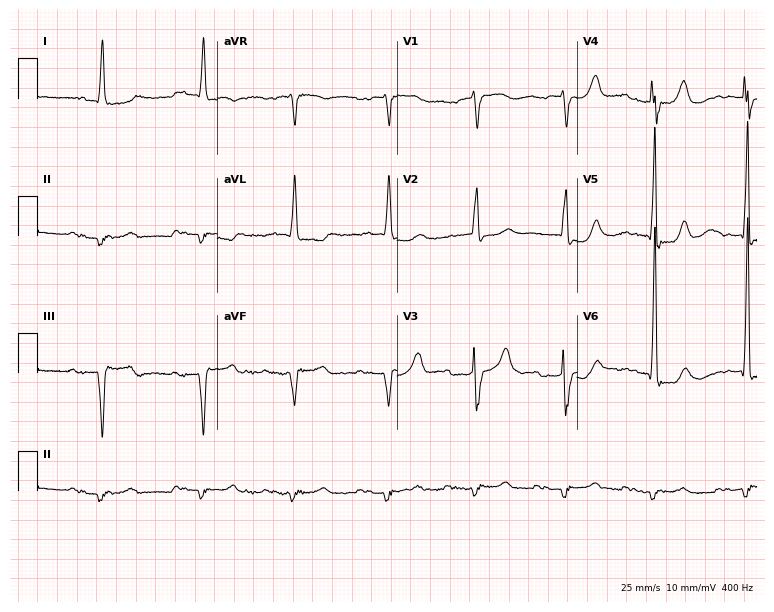
Standard 12-lead ECG recorded from an 83-year-old male (7.3-second recording at 400 Hz). None of these six findings is recorded: first-degree AV block, right bundle branch block (RBBB), left bundle branch block (LBBB), sinus bradycardia, atrial fibrillation (AF), sinus tachycardia. Findings outside these six are not listed.